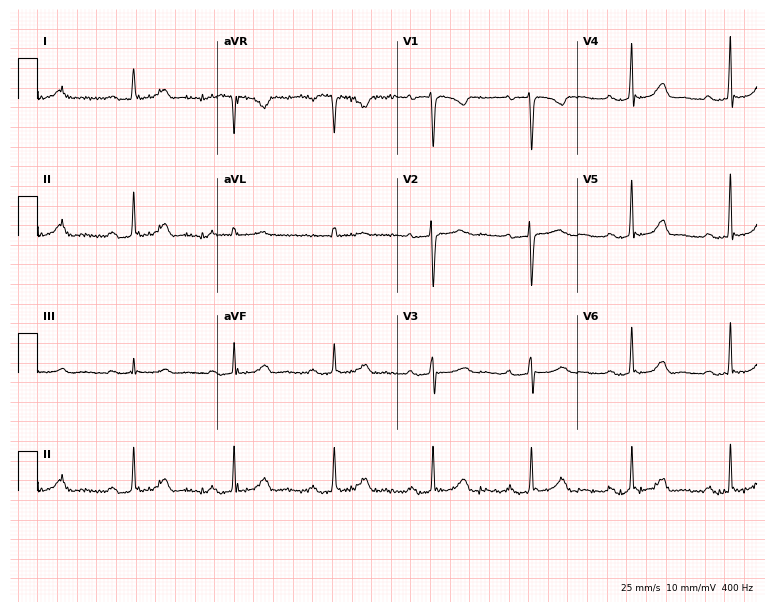
Electrocardiogram (7.3-second recording at 400 Hz), a female patient, 62 years old. Interpretation includes first-degree AV block.